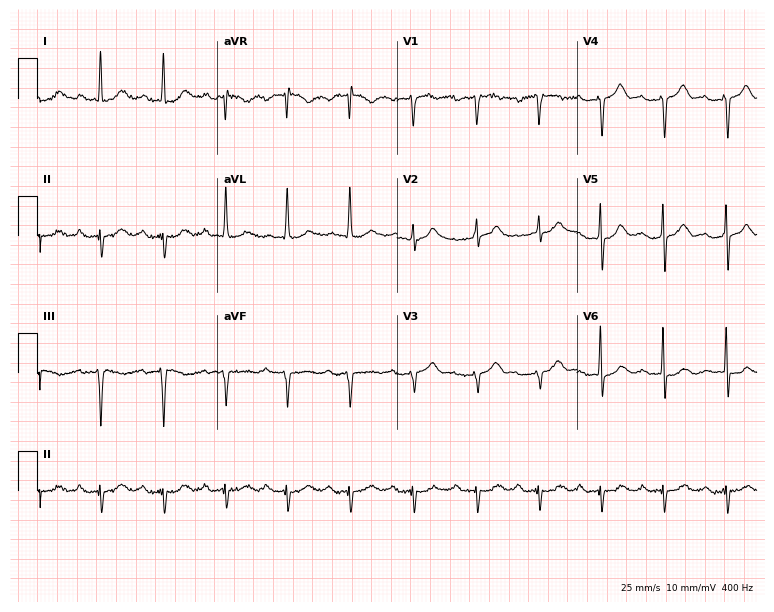
Electrocardiogram, a 75-year-old man. Interpretation includes first-degree AV block.